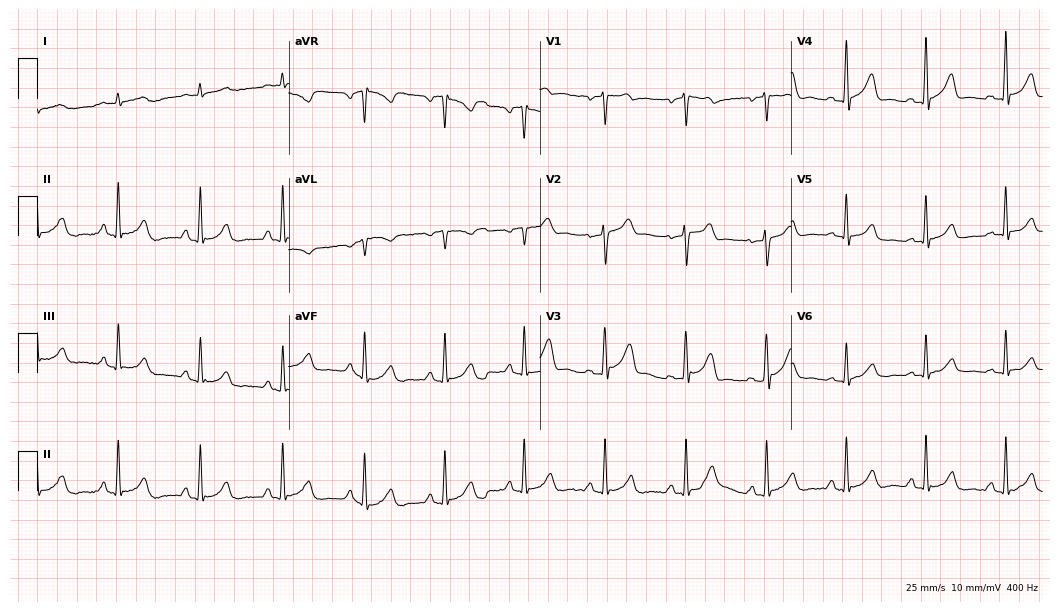
Standard 12-lead ECG recorded from a 50-year-old female. None of these six findings is recorded: first-degree AV block, right bundle branch block (RBBB), left bundle branch block (LBBB), sinus bradycardia, atrial fibrillation (AF), sinus tachycardia.